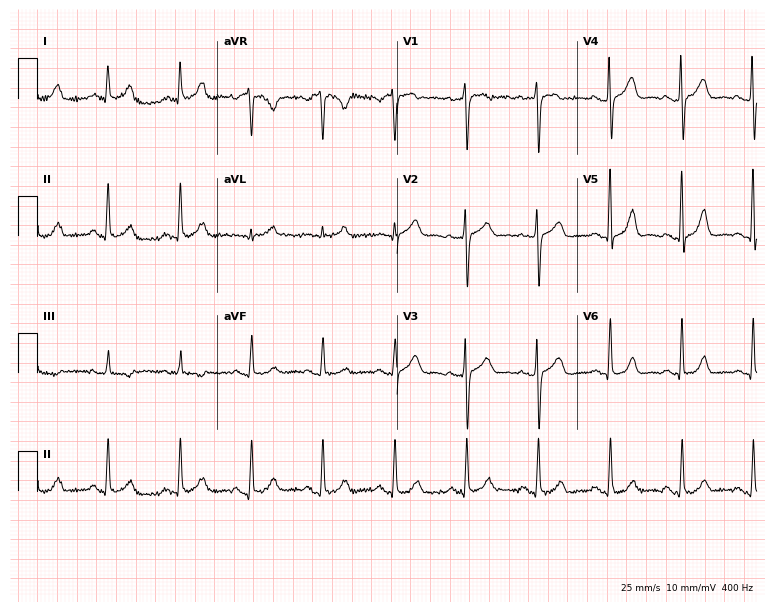
Electrocardiogram, a 46-year-old woman. Overall reading on record: normal ECG.